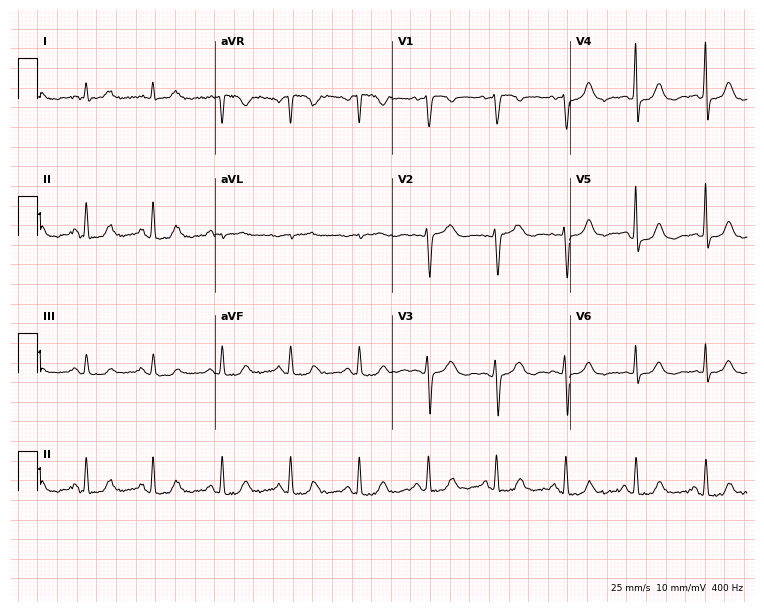
Electrocardiogram (7.2-second recording at 400 Hz), a female, 59 years old. Overall reading on record: normal ECG.